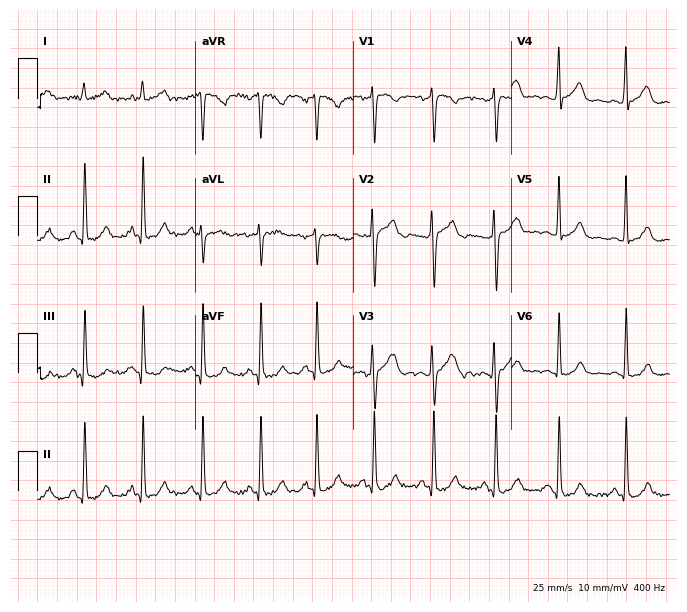
ECG — a 32-year-old female. Screened for six findings — first-degree AV block, right bundle branch block, left bundle branch block, sinus bradycardia, atrial fibrillation, sinus tachycardia — none is recorded. Only these six findings were labelled.